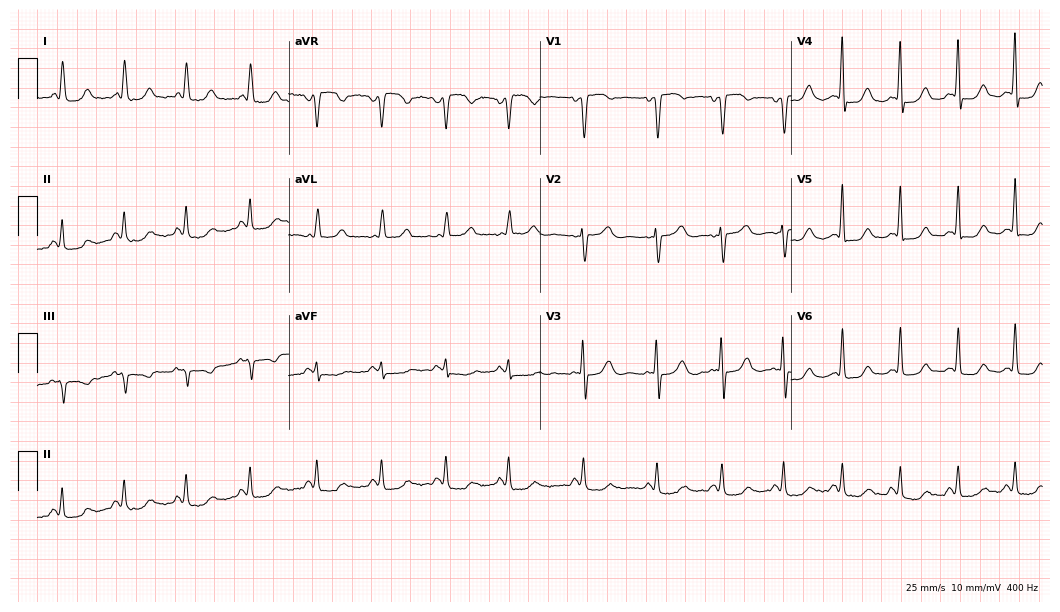
Resting 12-lead electrocardiogram. Patient: a woman, 75 years old. Read as a normal ECG.